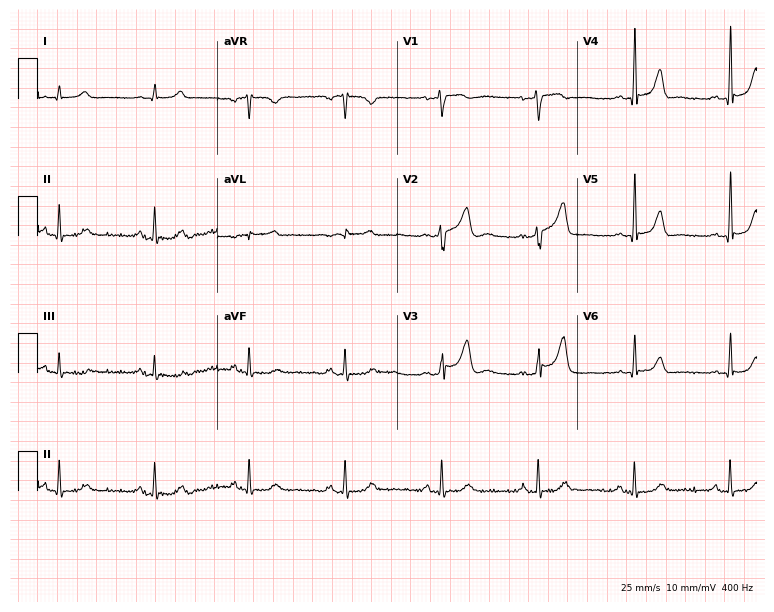
Resting 12-lead electrocardiogram (7.3-second recording at 400 Hz). Patient: a man, 56 years old. None of these six findings is recorded: first-degree AV block, right bundle branch block (RBBB), left bundle branch block (LBBB), sinus bradycardia, atrial fibrillation (AF), sinus tachycardia.